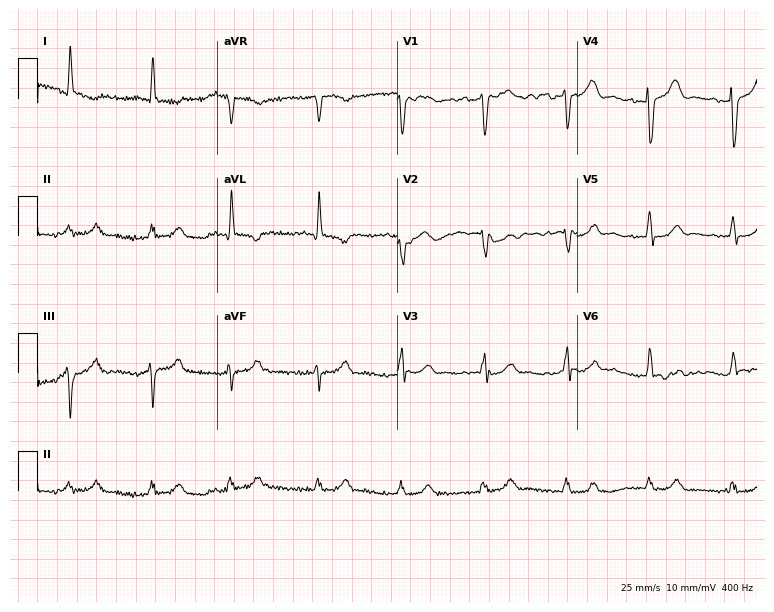
Electrocardiogram, a 72-year-old female. Of the six screened findings (first-degree AV block, right bundle branch block, left bundle branch block, sinus bradycardia, atrial fibrillation, sinus tachycardia), none is recorded. Only these six findings were labelled.